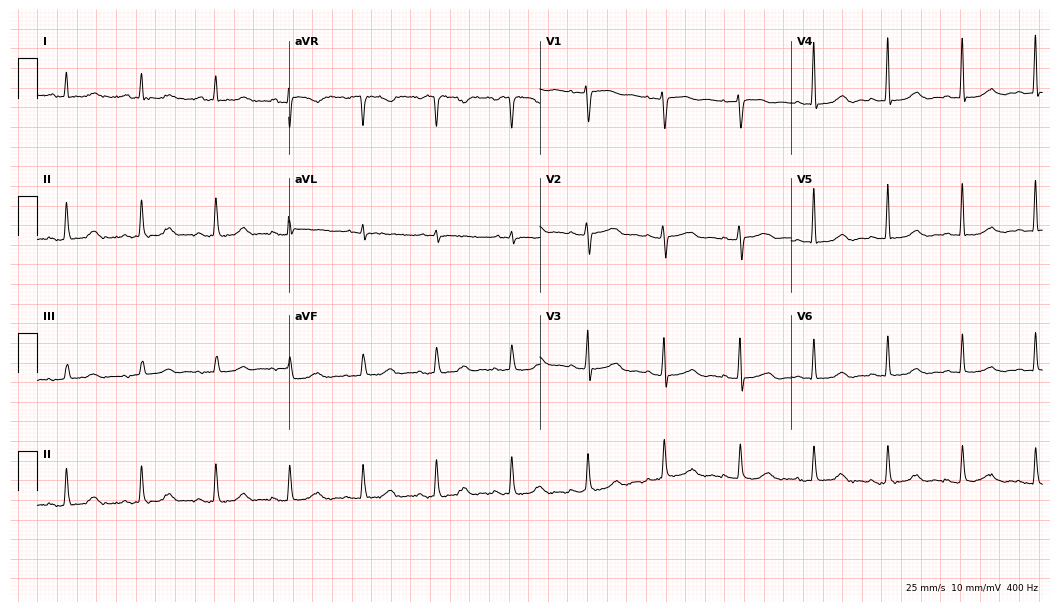
Resting 12-lead electrocardiogram. Patient: a 74-year-old woman. None of these six findings is recorded: first-degree AV block, right bundle branch block (RBBB), left bundle branch block (LBBB), sinus bradycardia, atrial fibrillation (AF), sinus tachycardia.